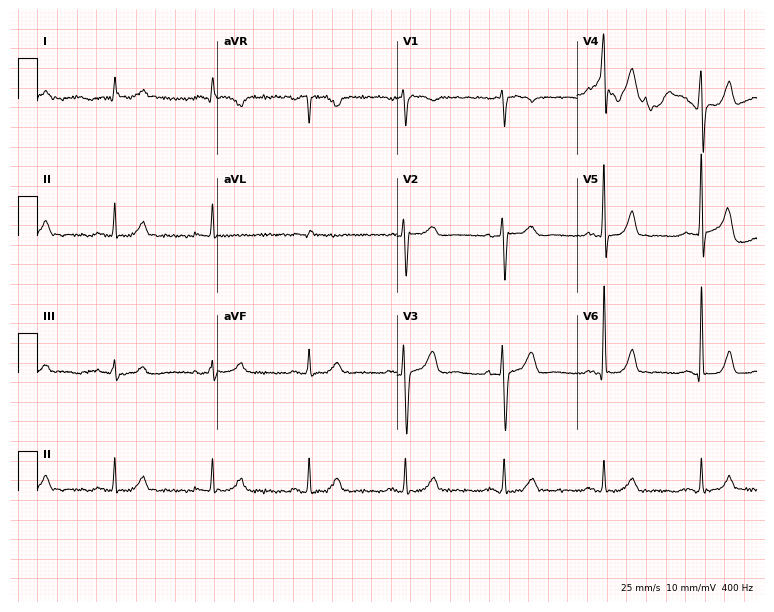
12-lead ECG from a male, 77 years old. Labelled as a normal ECG.